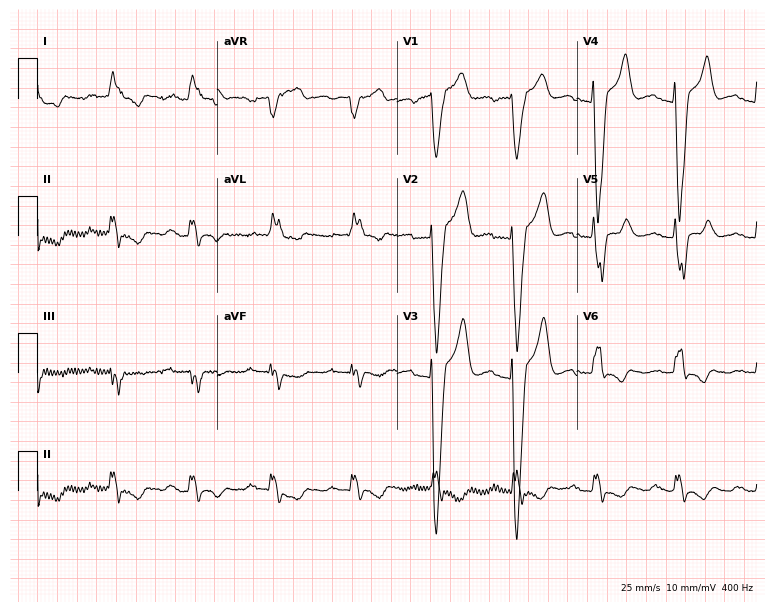
Resting 12-lead electrocardiogram. Patient: an 81-year-old male. The tracing shows first-degree AV block, left bundle branch block.